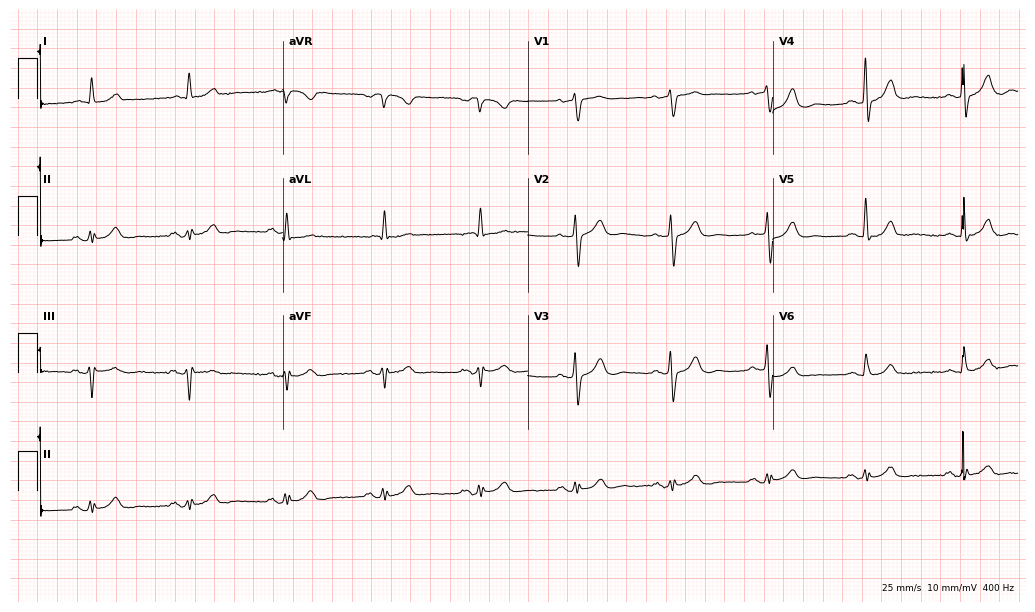
12-lead ECG from a 78-year-old man. Recorded interpretation: within normal limits.